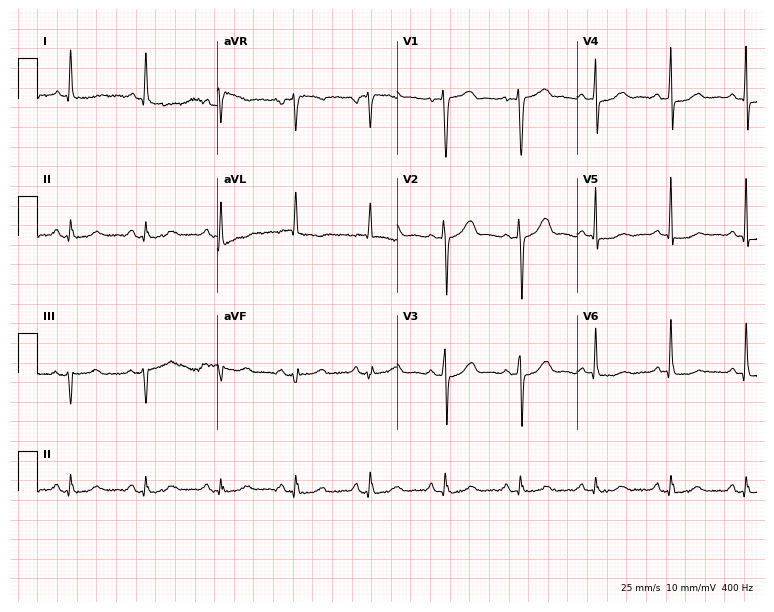
12-lead ECG from a man, 77 years old. No first-degree AV block, right bundle branch block (RBBB), left bundle branch block (LBBB), sinus bradycardia, atrial fibrillation (AF) or sinus tachycardia recorded for this tracing.